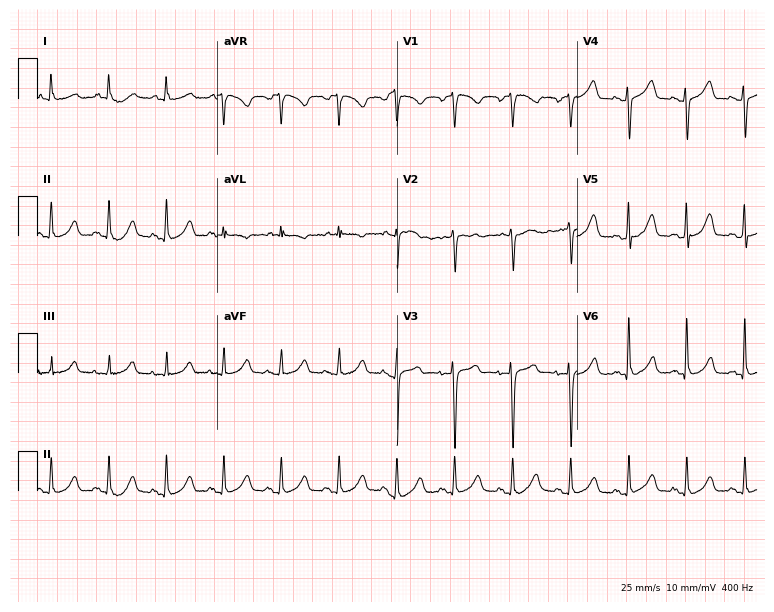
ECG (7.3-second recording at 400 Hz) — a 74-year-old female. Findings include sinus tachycardia (a sinus rate of 100 beats per minute or more).